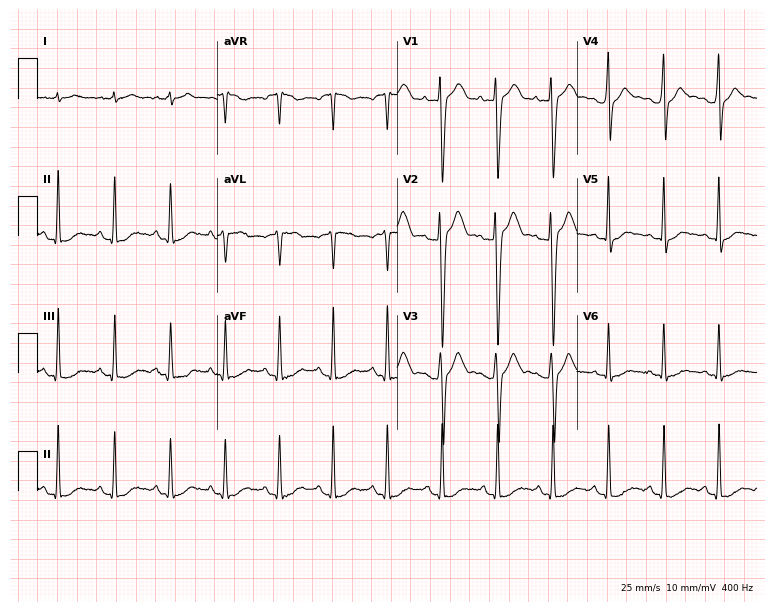
Standard 12-lead ECG recorded from a 21-year-old male (7.3-second recording at 400 Hz). The tracing shows sinus tachycardia (a sinus rate of 100 beats per minute or more).